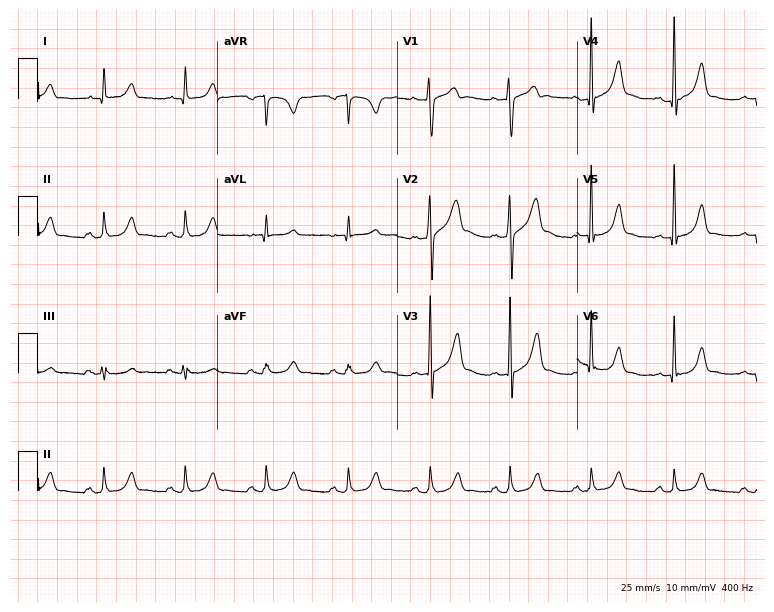
Resting 12-lead electrocardiogram (7.3-second recording at 400 Hz). Patient: a male, 39 years old. Read as a normal ECG.